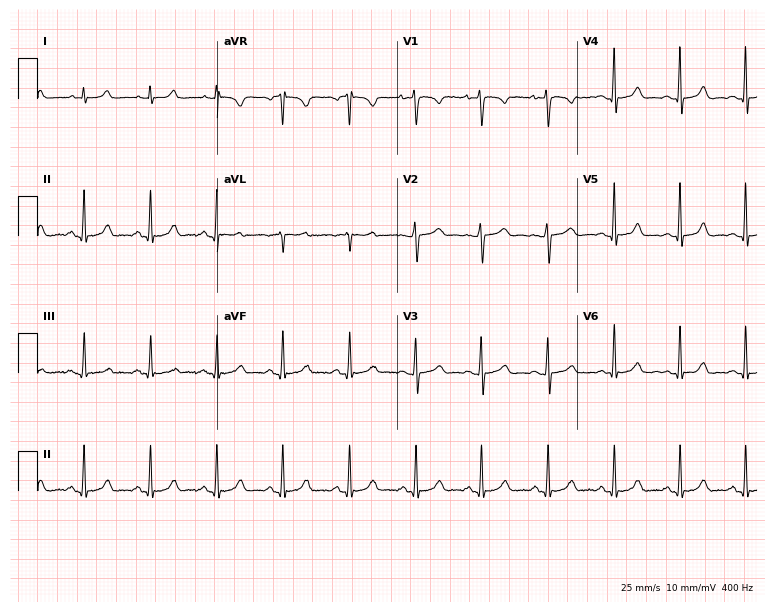
Standard 12-lead ECG recorded from a female, 27 years old. Read as a normal ECG.